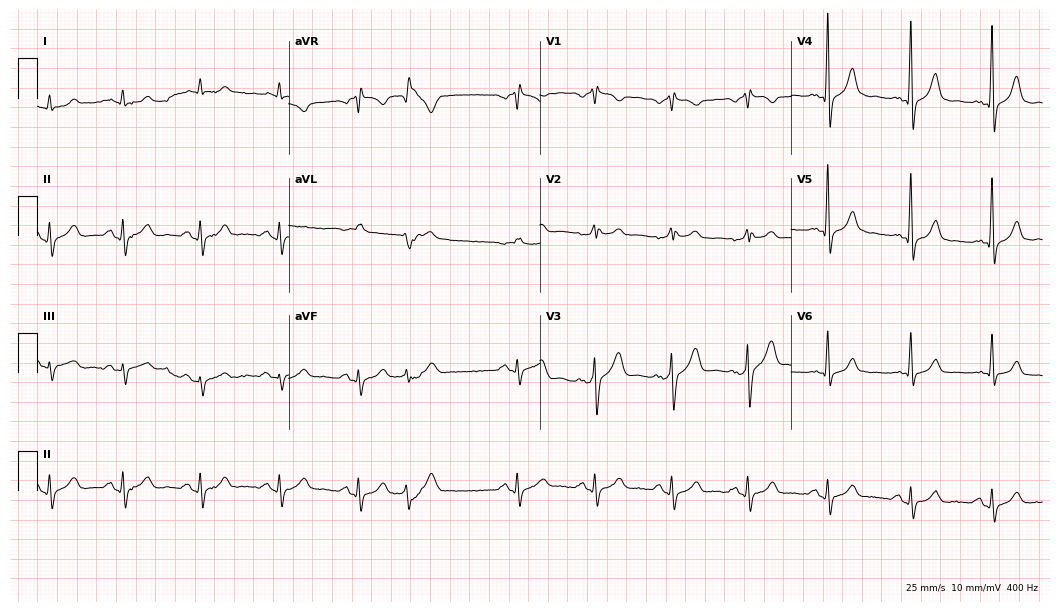
Resting 12-lead electrocardiogram. Patient: a 72-year-old male. None of these six findings is recorded: first-degree AV block, right bundle branch block, left bundle branch block, sinus bradycardia, atrial fibrillation, sinus tachycardia.